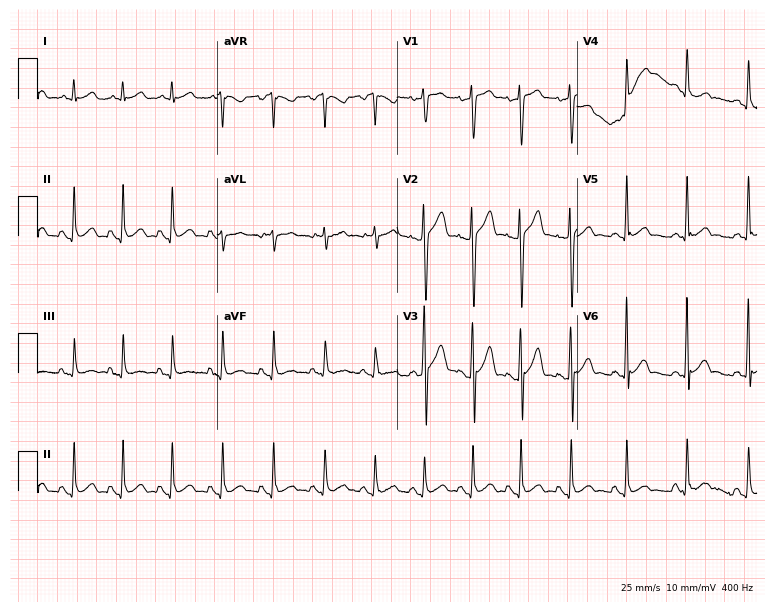
Standard 12-lead ECG recorded from a 39-year-old man (7.3-second recording at 400 Hz). The tracing shows sinus tachycardia (a sinus rate of 100 beats per minute or more).